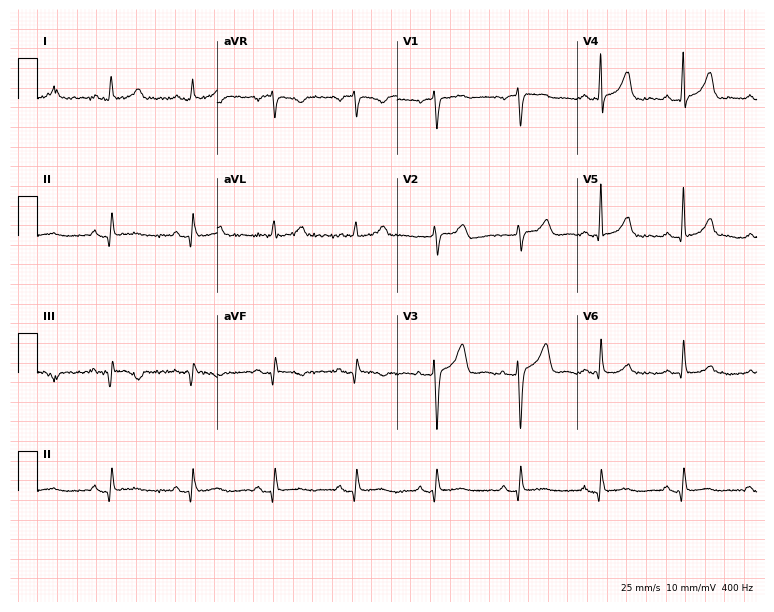
12-lead ECG from a female patient, 72 years old. No first-degree AV block, right bundle branch block (RBBB), left bundle branch block (LBBB), sinus bradycardia, atrial fibrillation (AF) or sinus tachycardia recorded for this tracing.